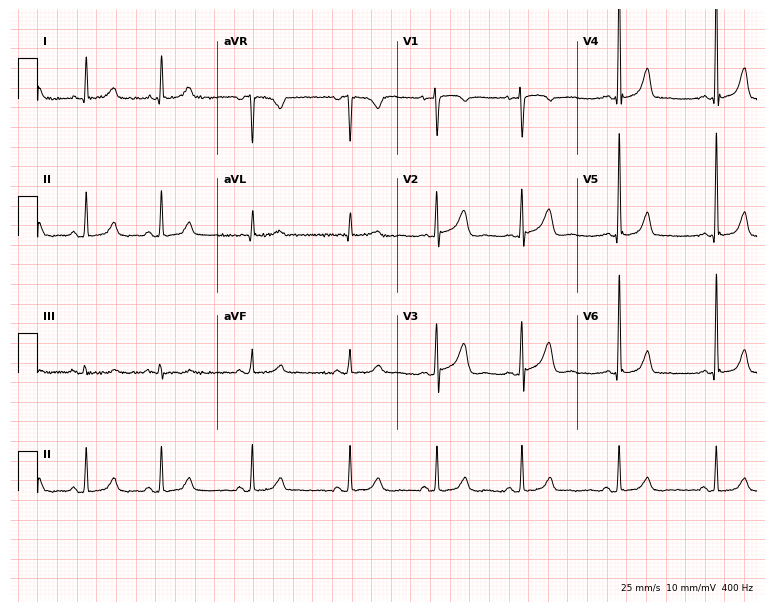
12-lead ECG from a female, 46 years old. Labelled as a normal ECG.